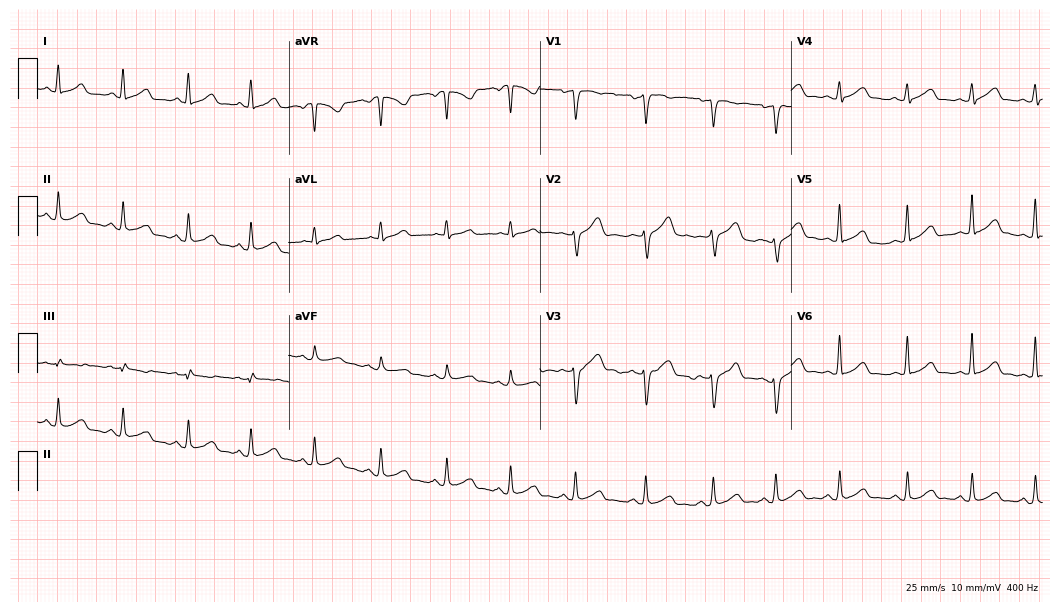
12-lead ECG from a 29-year-old female. Labelled as a normal ECG.